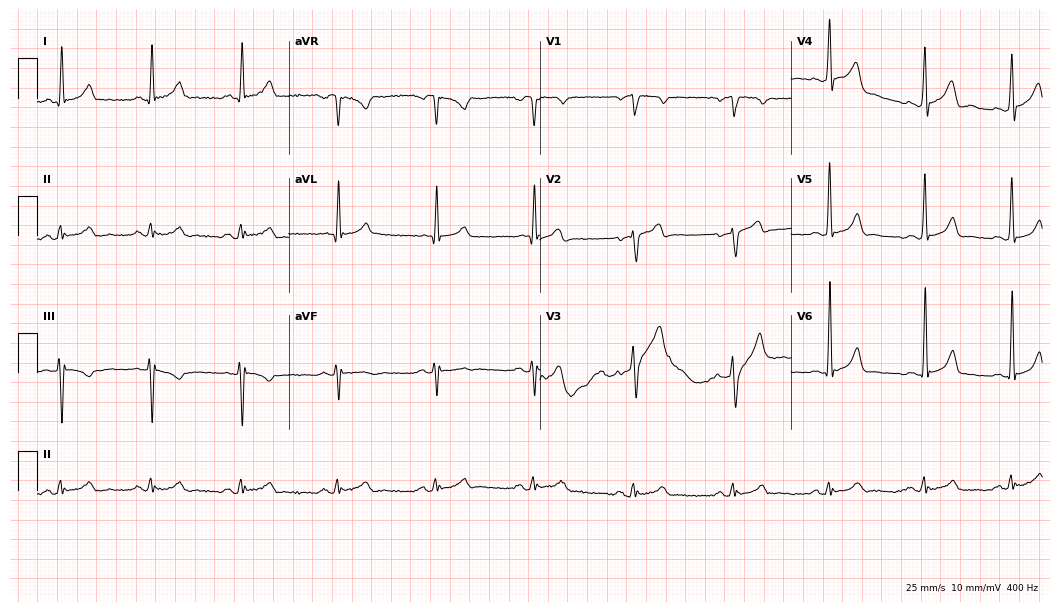
Electrocardiogram (10.2-second recording at 400 Hz), a 40-year-old male. Overall reading on record: normal ECG.